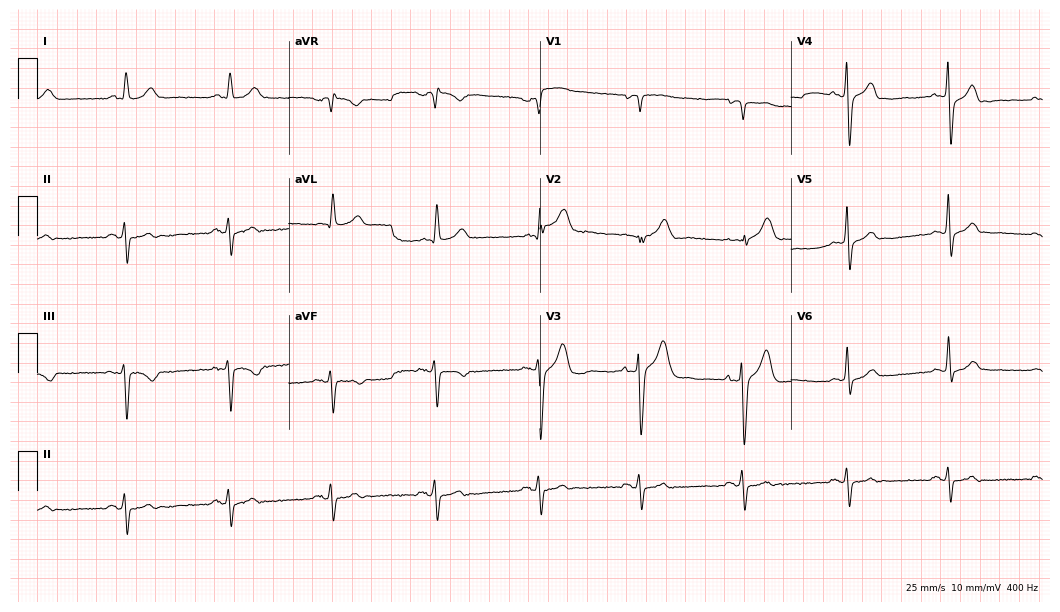
12-lead ECG from an 81-year-old male patient. Screened for six findings — first-degree AV block, right bundle branch block, left bundle branch block, sinus bradycardia, atrial fibrillation, sinus tachycardia — none is recorded. Other findings, if any, are not listed.